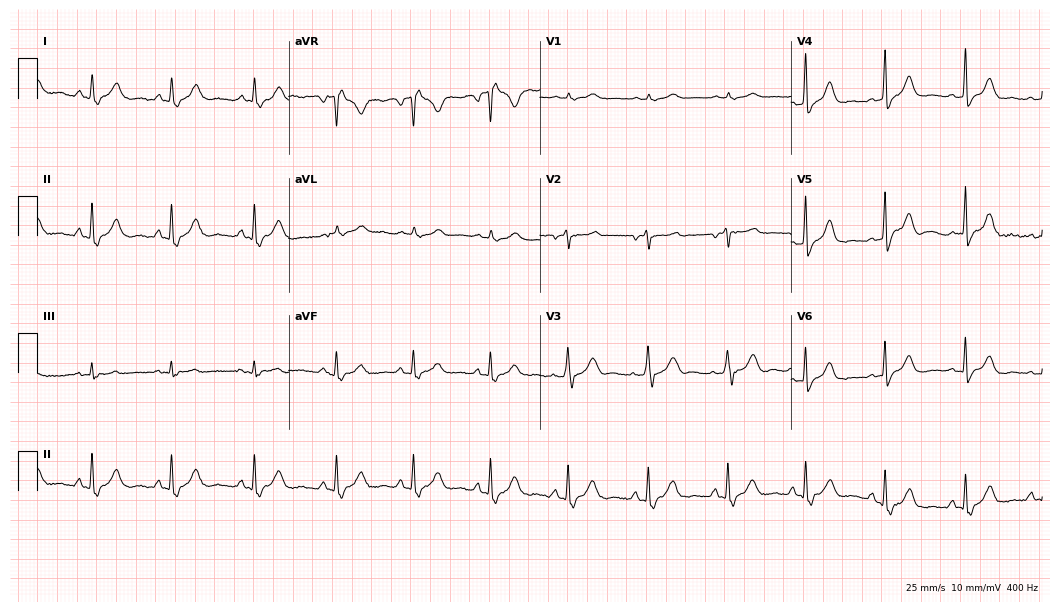
Standard 12-lead ECG recorded from a female patient, 42 years old. None of these six findings is recorded: first-degree AV block, right bundle branch block, left bundle branch block, sinus bradycardia, atrial fibrillation, sinus tachycardia.